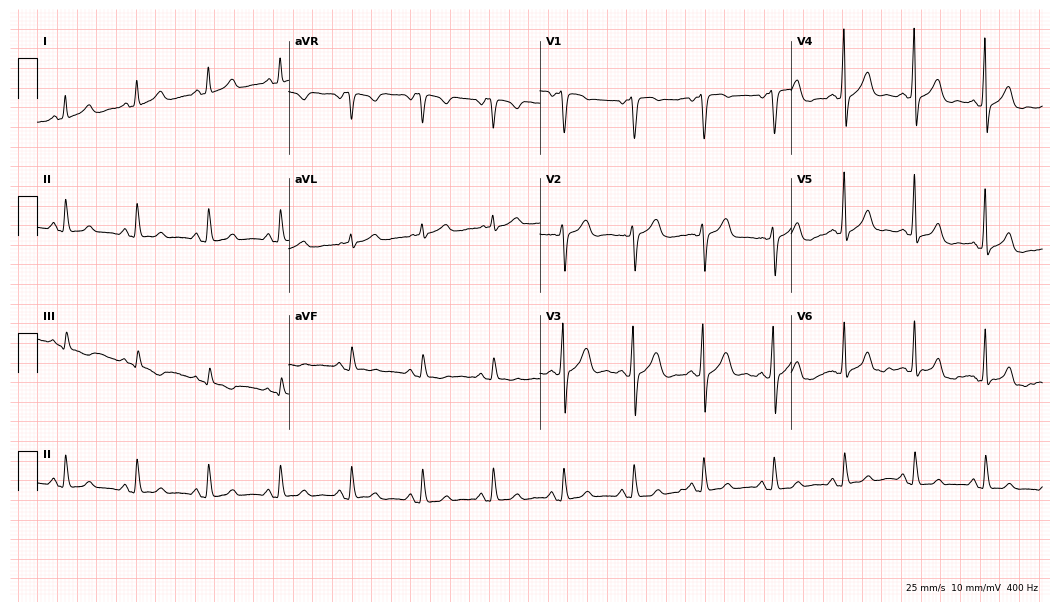
Electrocardiogram, a 51-year-old male patient. Overall reading on record: normal ECG.